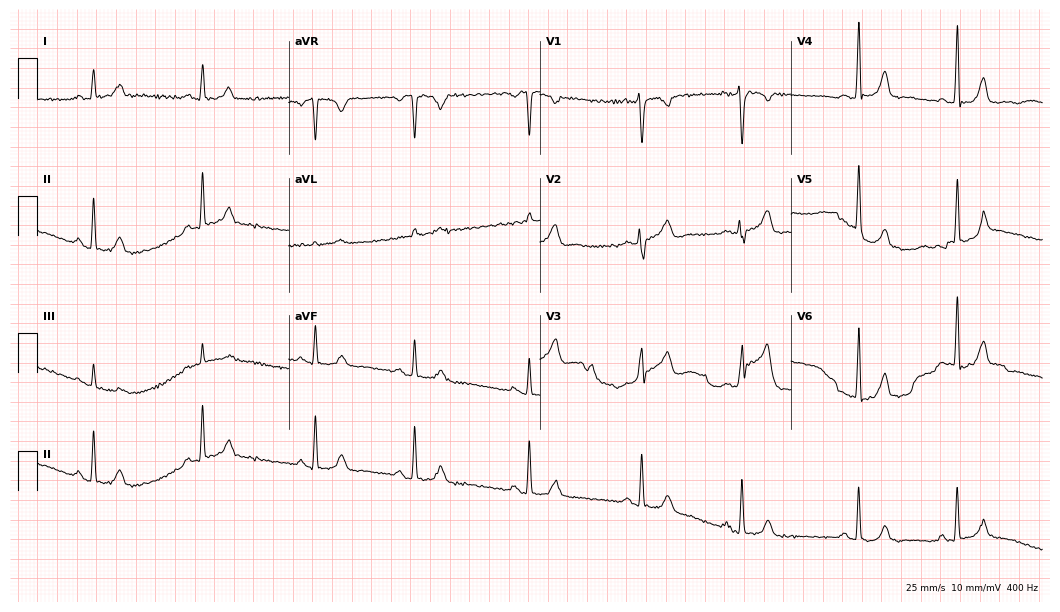
Standard 12-lead ECG recorded from a 46-year-old woman. Read as a normal ECG.